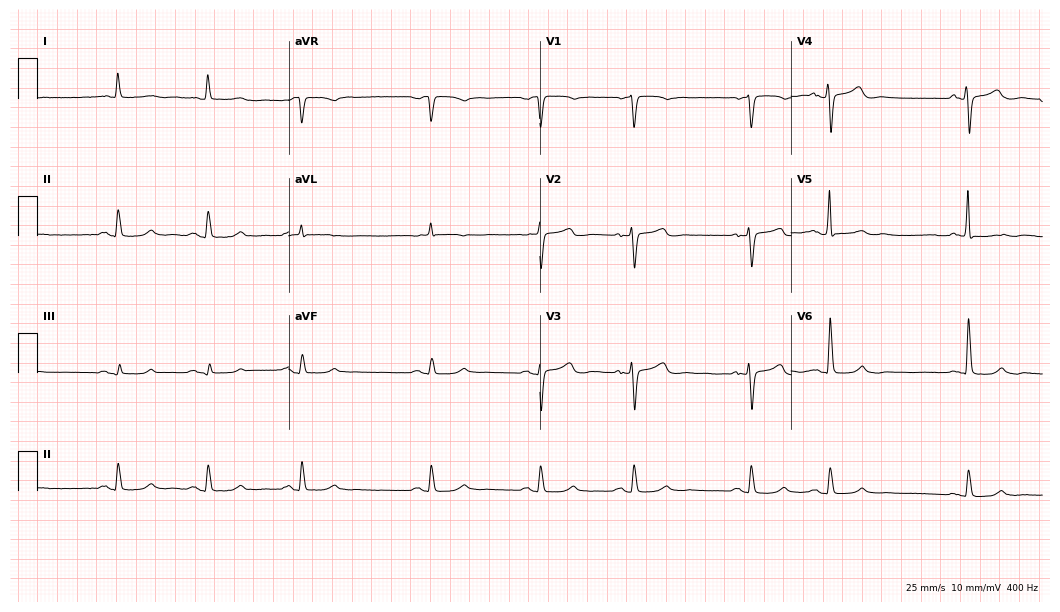
Resting 12-lead electrocardiogram. Patient: a 74-year-old man. None of these six findings is recorded: first-degree AV block, right bundle branch block, left bundle branch block, sinus bradycardia, atrial fibrillation, sinus tachycardia. Other findings, if any, are not listed.